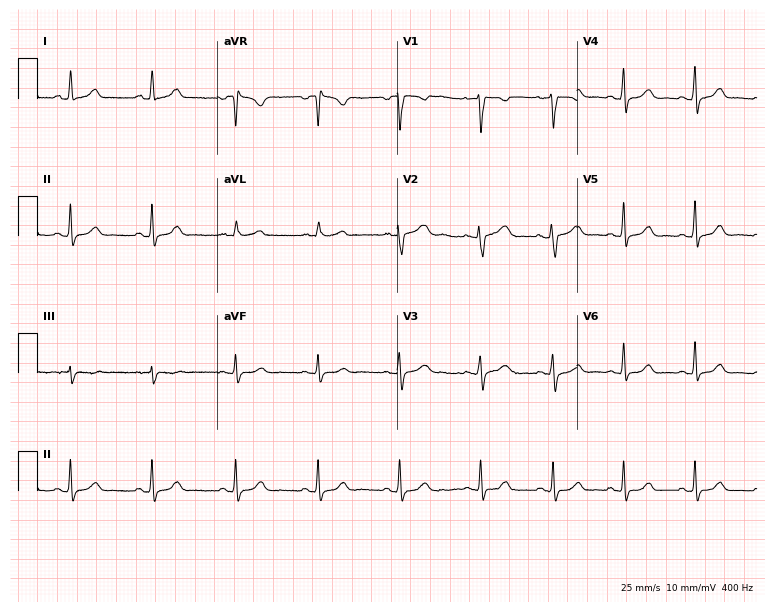
Electrocardiogram (7.3-second recording at 400 Hz), a 35-year-old female patient. Overall reading on record: normal ECG.